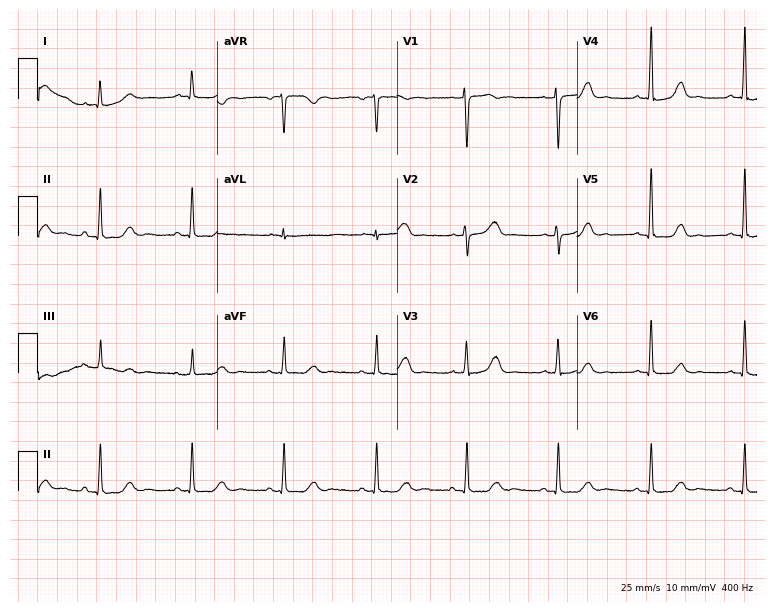
Electrocardiogram, a 55-year-old female. Of the six screened findings (first-degree AV block, right bundle branch block (RBBB), left bundle branch block (LBBB), sinus bradycardia, atrial fibrillation (AF), sinus tachycardia), none is recorded.